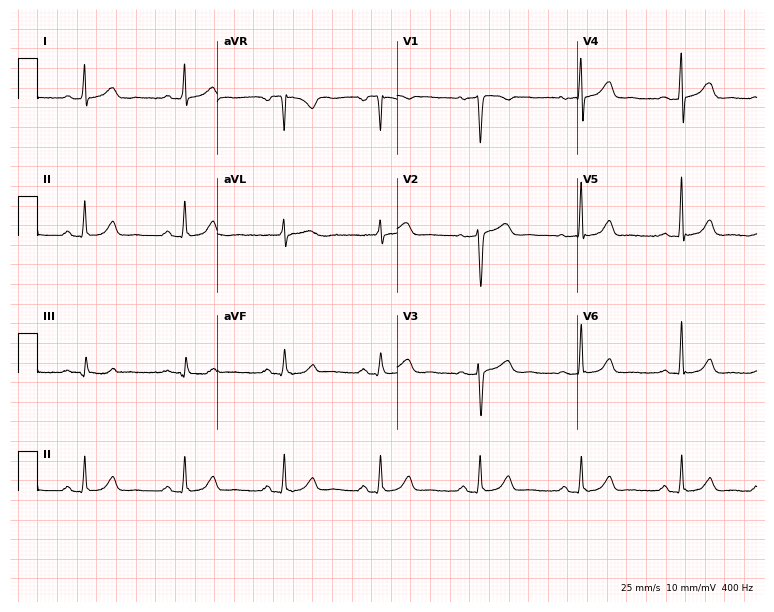
ECG — a 46-year-old female patient. Labelled as a normal ECG.